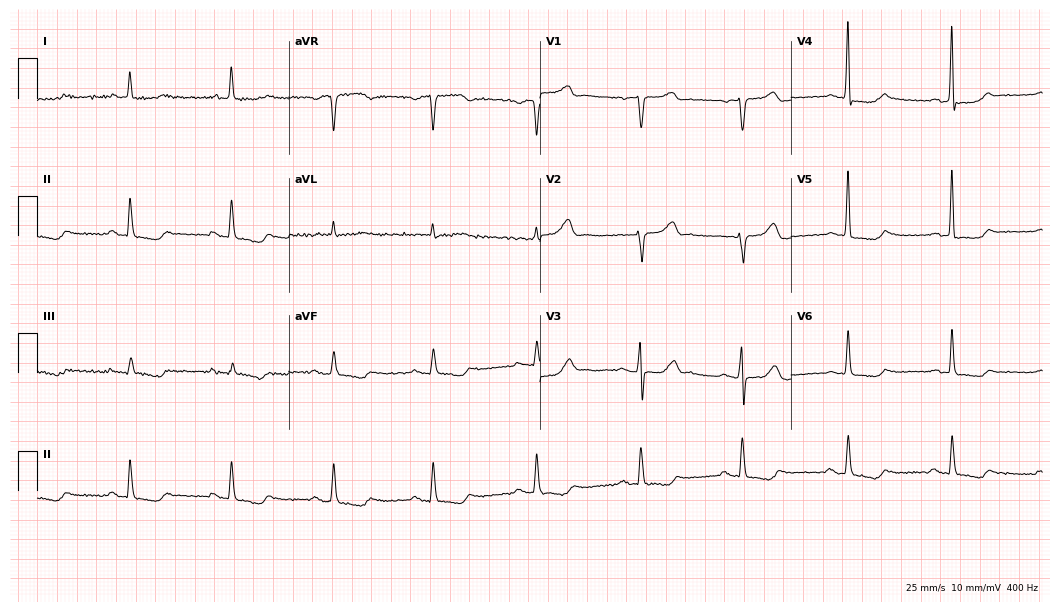
12-lead ECG from a 77-year-old woman (10.2-second recording at 400 Hz). No first-degree AV block, right bundle branch block (RBBB), left bundle branch block (LBBB), sinus bradycardia, atrial fibrillation (AF) or sinus tachycardia recorded for this tracing. Only these six findings were labelled.